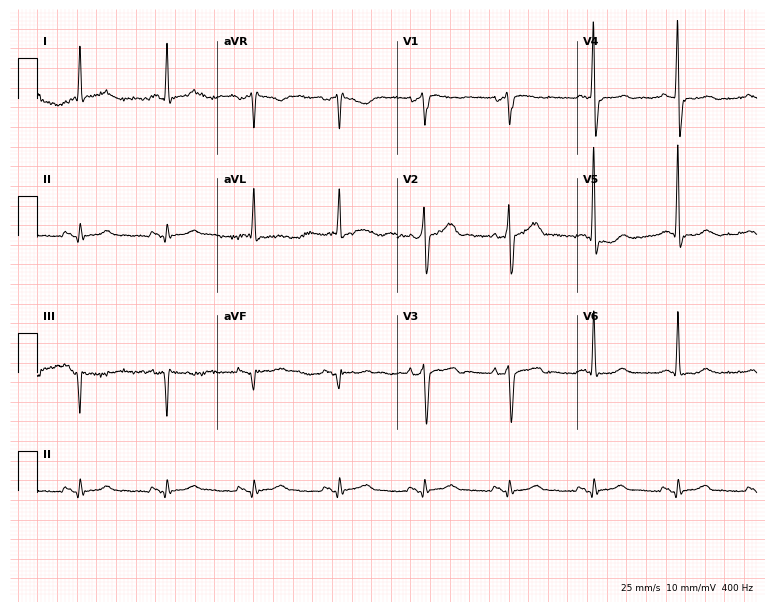
12-lead ECG from a man, 49 years old. No first-degree AV block, right bundle branch block, left bundle branch block, sinus bradycardia, atrial fibrillation or sinus tachycardia recorded for this tracing.